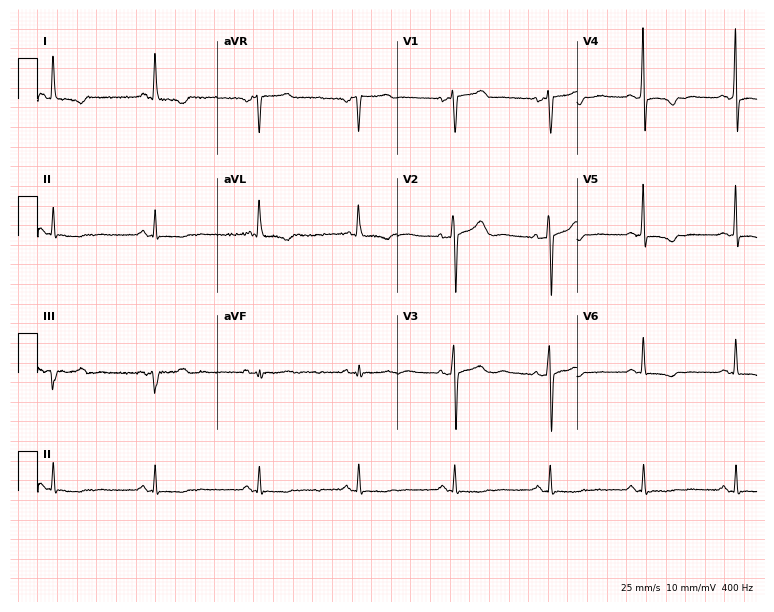
ECG (7.3-second recording at 400 Hz) — a 58-year-old woman. Screened for six findings — first-degree AV block, right bundle branch block (RBBB), left bundle branch block (LBBB), sinus bradycardia, atrial fibrillation (AF), sinus tachycardia — none is recorded.